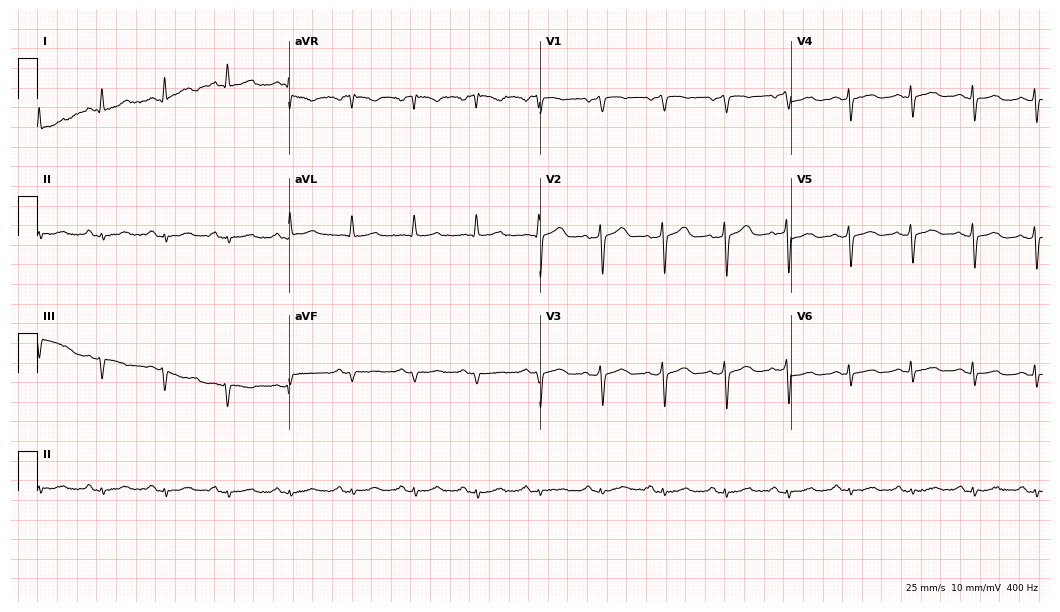
12-lead ECG (10.2-second recording at 400 Hz) from a 68-year-old female. Screened for six findings — first-degree AV block, right bundle branch block, left bundle branch block, sinus bradycardia, atrial fibrillation, sinus tachycardia — none is recorded.